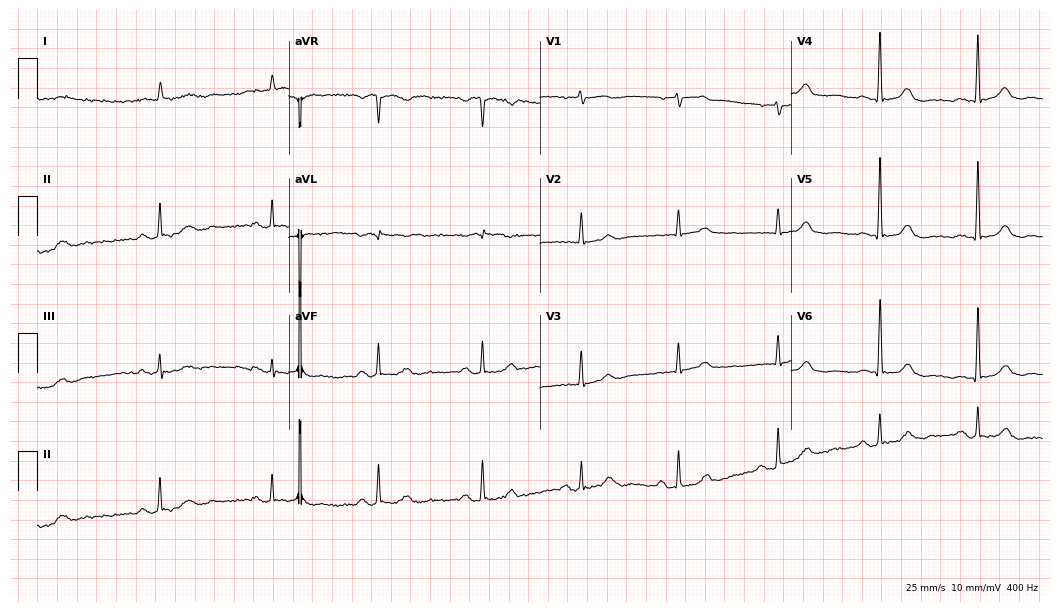
Standard 12-lead ECG recorded from an 85-year-old man. None of these six findings is recorded: first-degree AV block, right bundle branch block, left bundle branch block, sinus bradycardia, atrial fibrillation, sinus tachycardia.